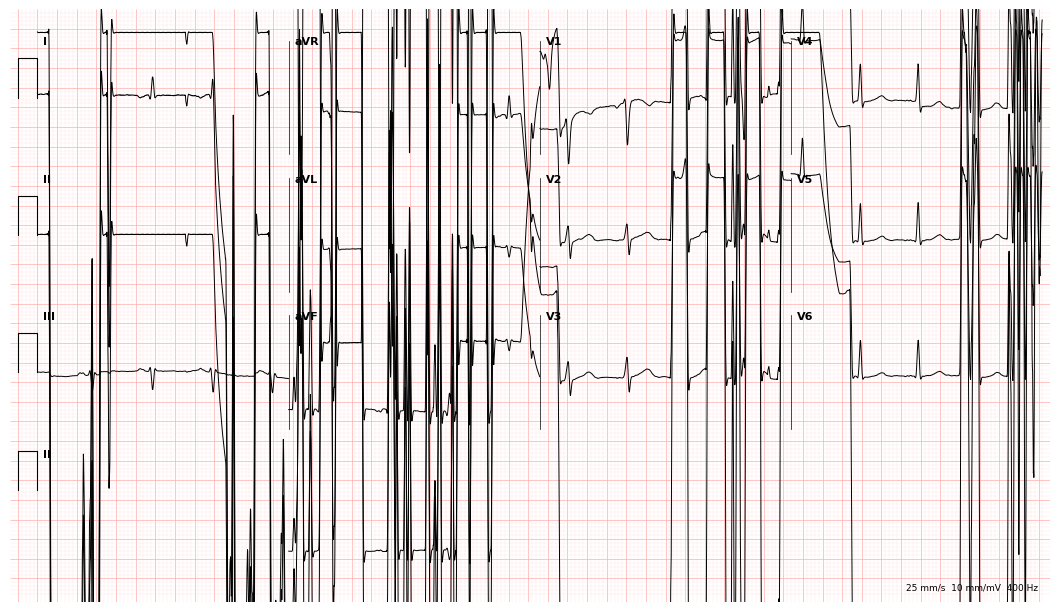
Resting 12-lead electrocardiogram (10.2-second recording at 400 Hz). Patient: a female, 42 years old. None of these six findings is recorded: first-degree AV block, right bundle branch block, left bundle branch block, sinus bradycardia, atrial fibrillation, sinus tachycardia.